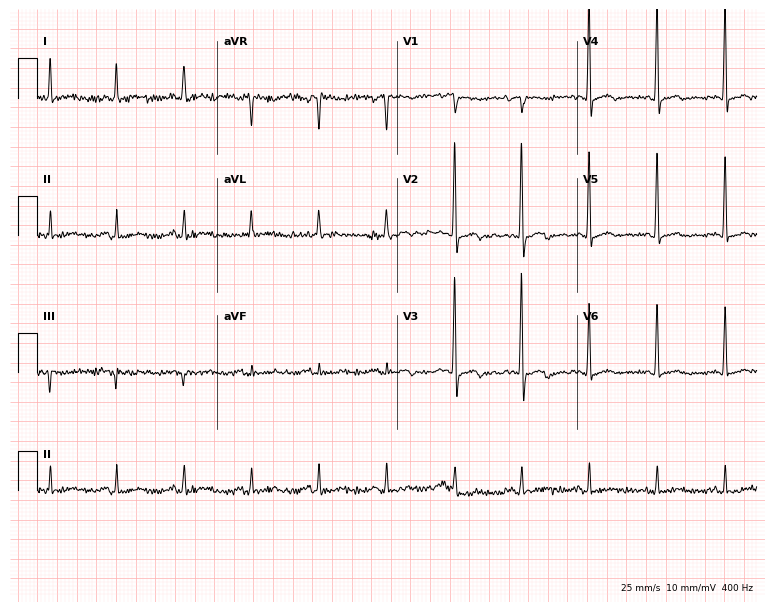
Standard 12-lead ECG recorded from a 72-year-old female patient. None of these six findings is recorded: first-degree AV block, right bundle branch block, left bundle branch block, sinus bradycardia, atrial fibrillation, sinus tachycardia. Findings outside these six are not listed.